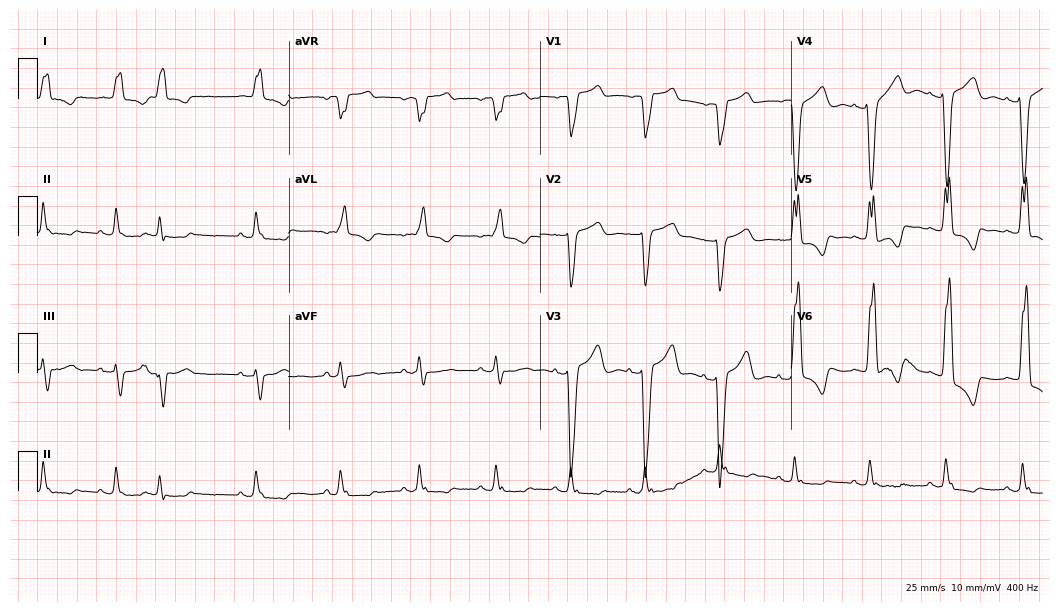
Resting 12-lead electrocardiogram (10.2-second recording at 400 Hz). Patient: a 76-year-old female. The tracing shows left bundle branch block (LBBB).